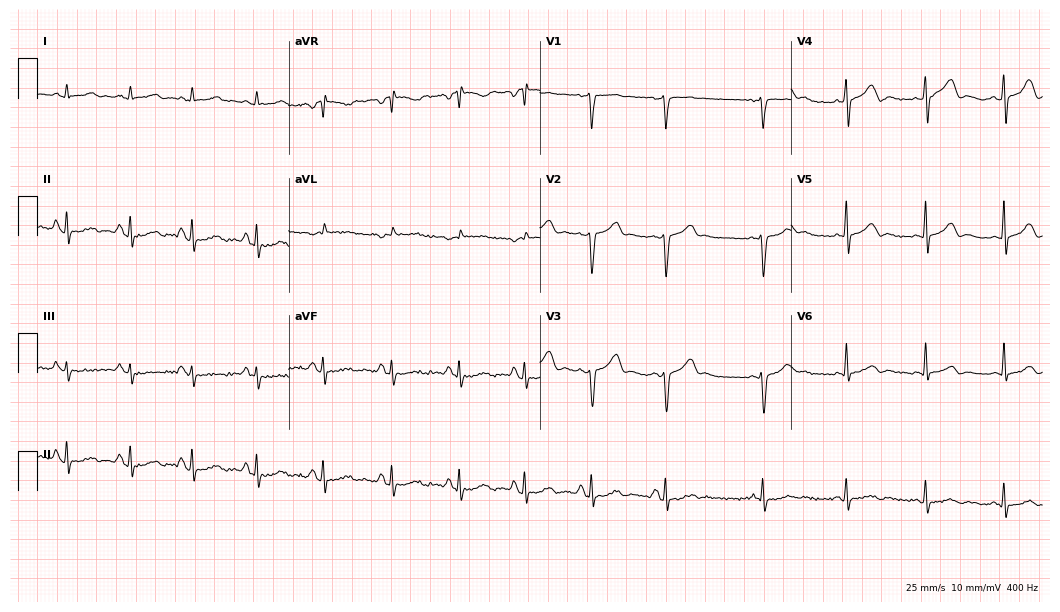
Electrocardiogram, a 46-year-old male. Of the six screened findings (first-degree AV block, right bundle branch block, left bundle branch block, sinus bradycardia, atrial fibrillation, sinus tachycardia), none is recorded. Findings outside these six are not listed.